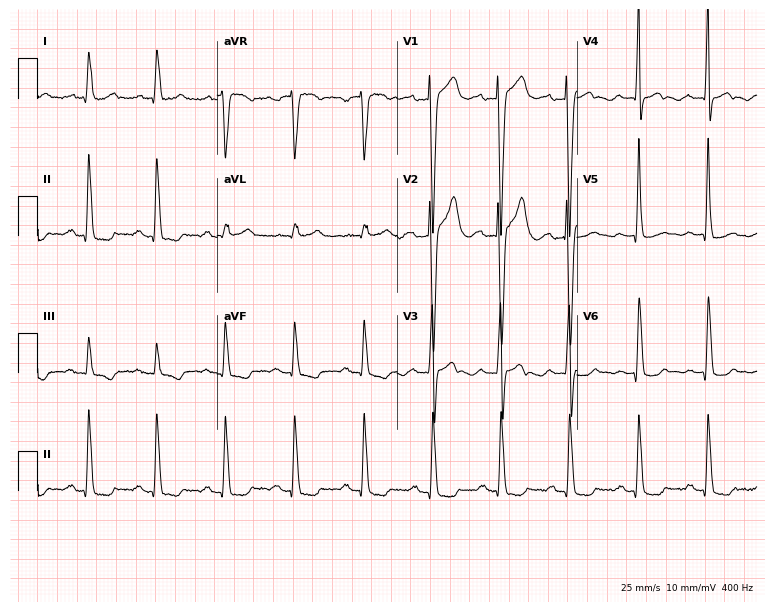
Standard 12-lead ECG recorded from a 44-year-old man. None of these six findings is recorded: first-degree AV block, right bundle branch block, left bundle branch block, sinus bradycardia, atrial fibrillation, sinus tachycardia.